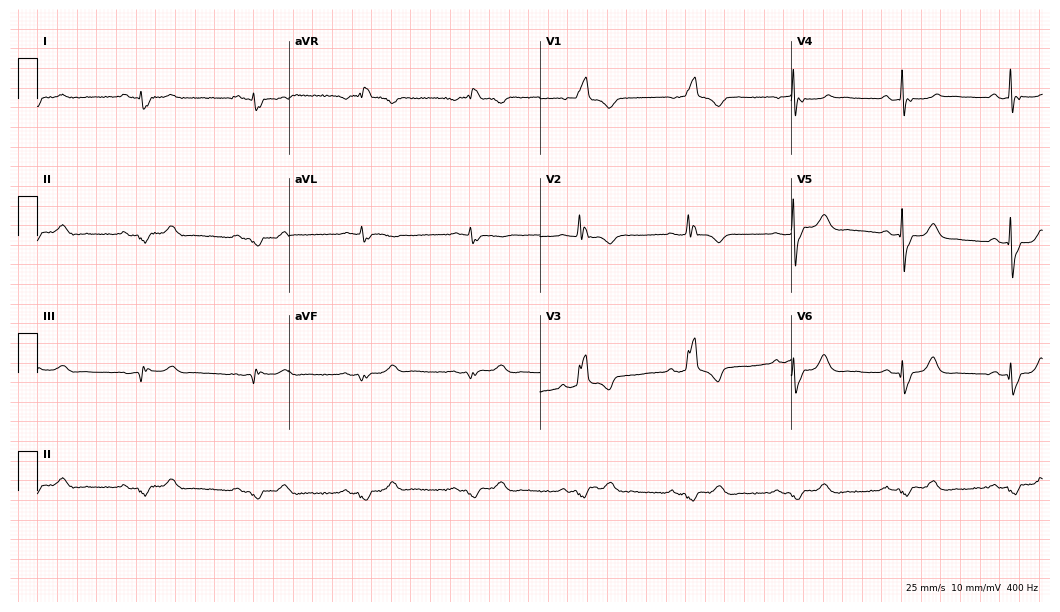
Electrocardiogram (10.2-second recording at 400 Hz), a male patient, 62 years old. Of the six screened findings (first-degree AV block, right bundle branch block (RBBB), left bundle branch block (LBBB), sinus bradycardia, atrial fibrillation (AF), sinus tachycardia), none is recorded.